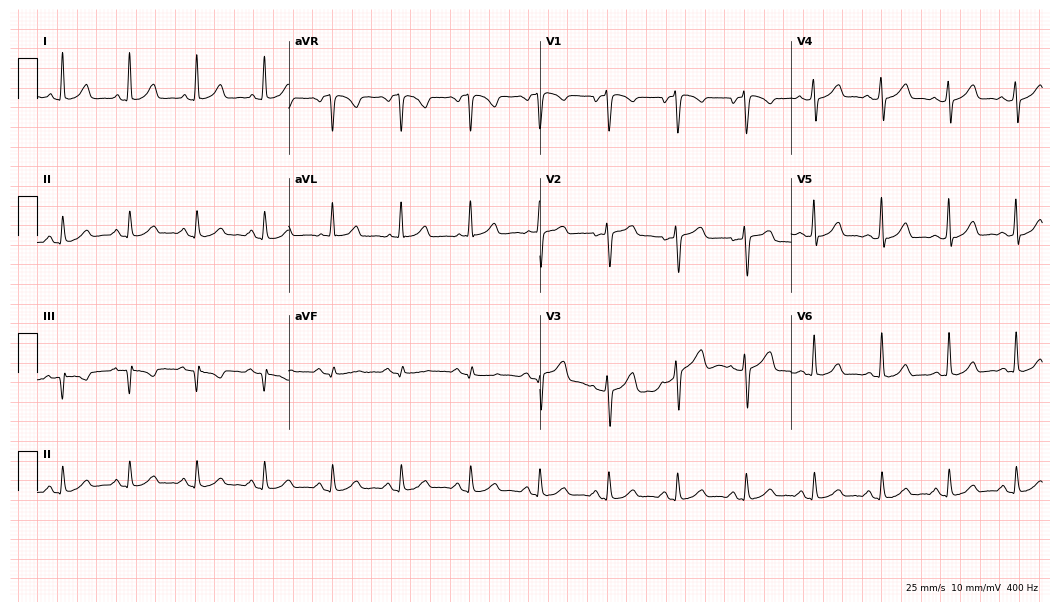
ECG (10.2-second recording at 400 Hz) — a 43-year-old female patient. Labelled as a normal ECG.